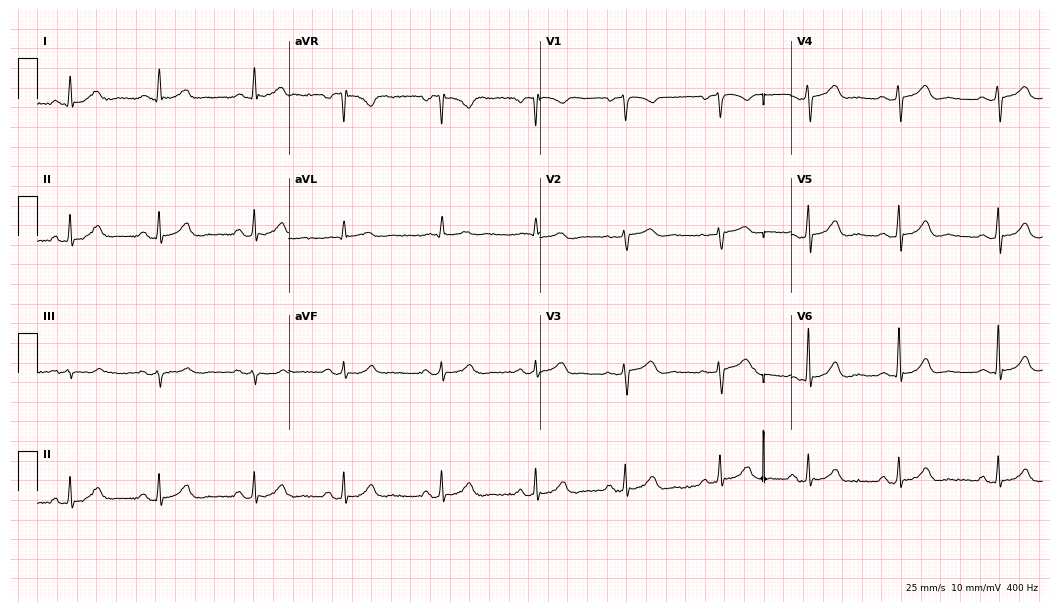
Standard 12-lead ECG recorded from a 75-year-old female patient (10.2-second recording at 400 Hz). Read as a normal ECG.